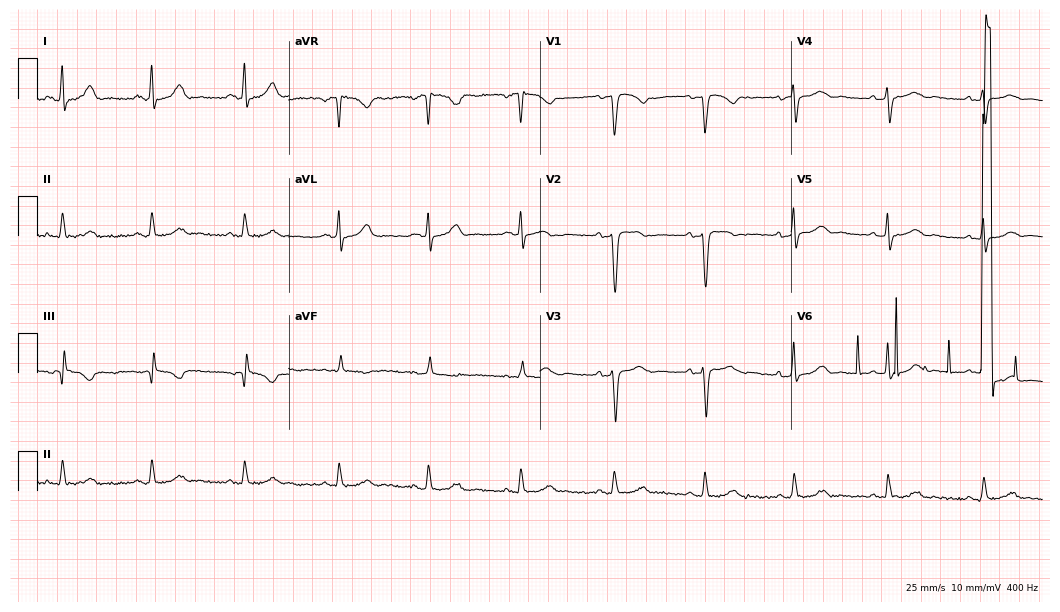
Resting 12-lead electrocardiogram. Patient: a 35-year-old female. None of these six findings is recorded: first-degree AV block, right bundle branch block, left bundle branch block, sinus bradycardia, atrial fibrillation, sinus tachycardia.